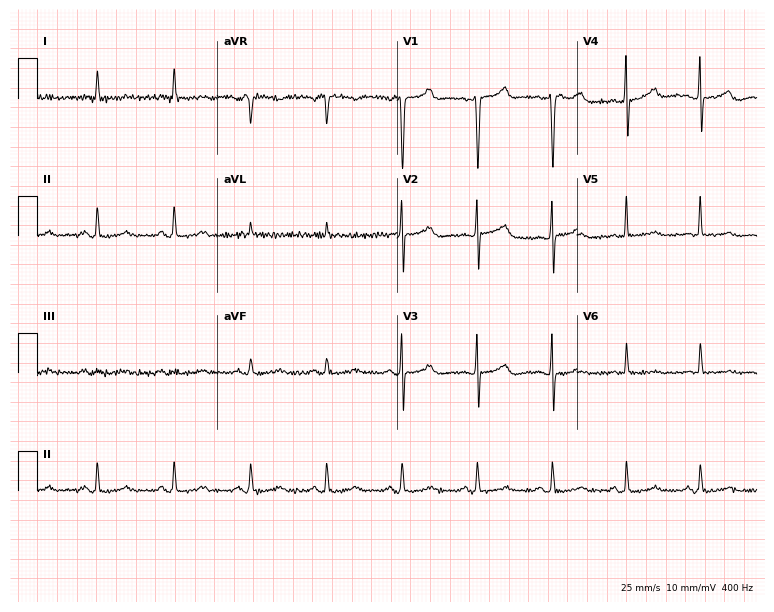
12-lead ECG from a male, 61 years old. Screened for six findings — first-degree AV block, right bundle branch block (RBBB), left bundle branch block (LBBB), sinus bradycardia, atrial fibrillation (AF), sinus tachycardia — none is recorded. Findings outside these six are not listed.